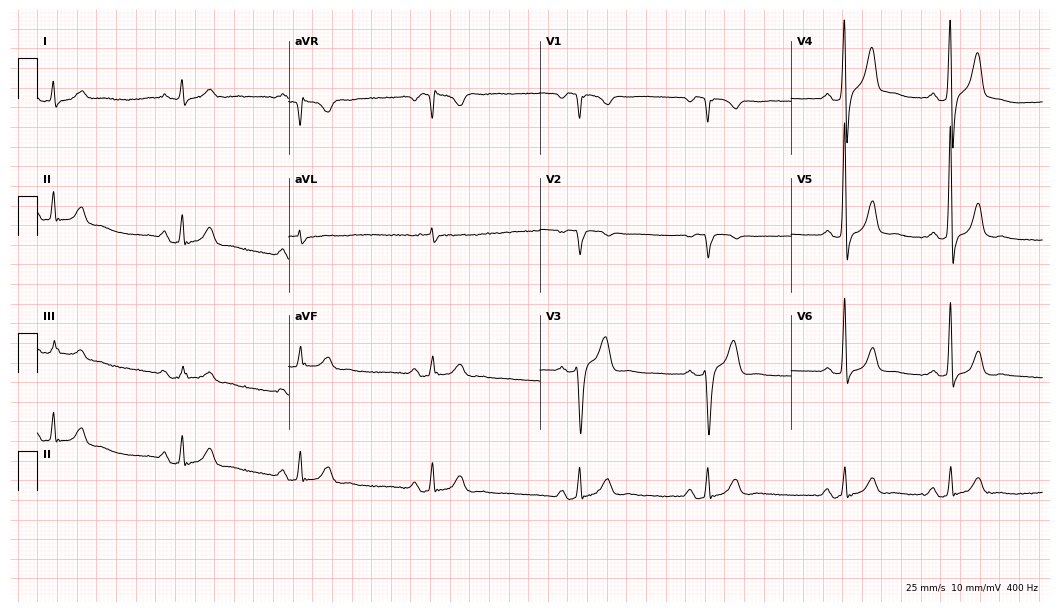
12-lead ECG from a 49-year-old male (10.2-second recording at 400 Hz). Shows sinus bradycardia (a sinus rate of 50 beats per minute or less).